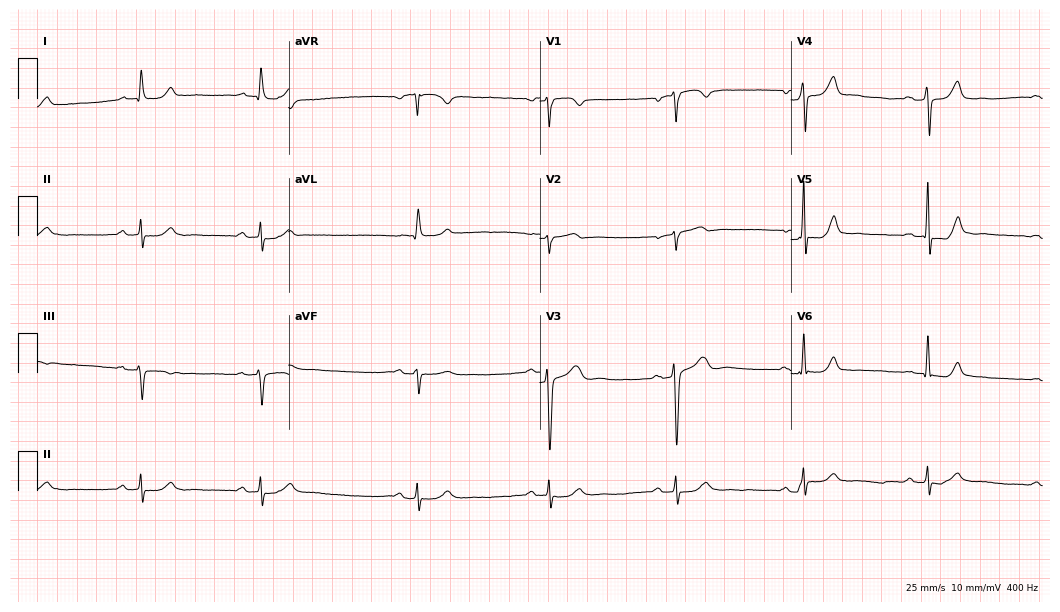
Standard 12-lead ECG recorded from a 72-year-old male patient (10.2-second recording at 400 Hz). The tracing shows sinus bradycardia (a sinus rate of 50 beats per minute or less).